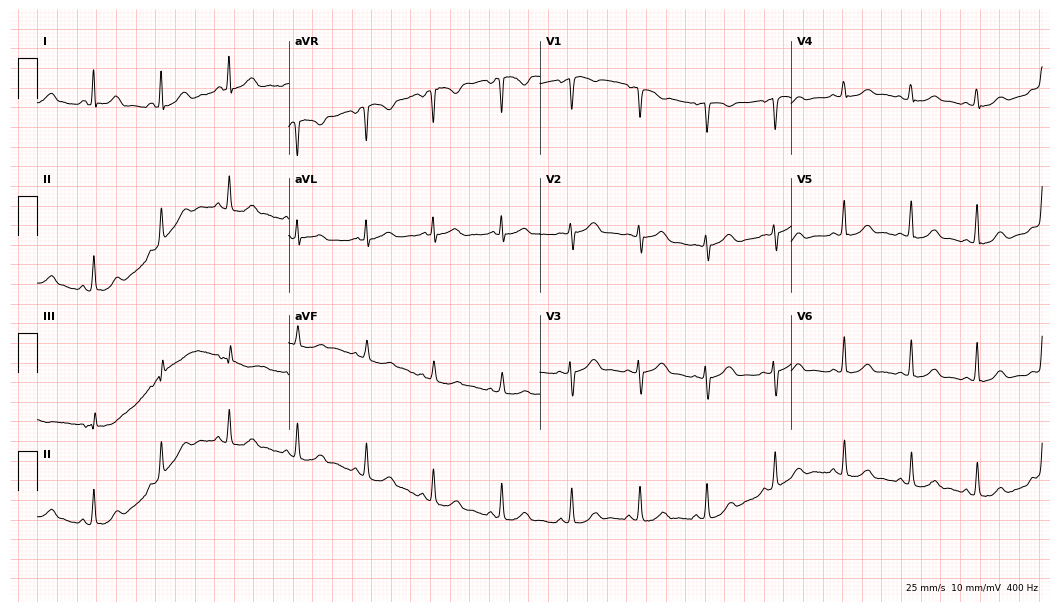
12-lead ECG from a 40-year-old female. Labelled as a normal ECG.